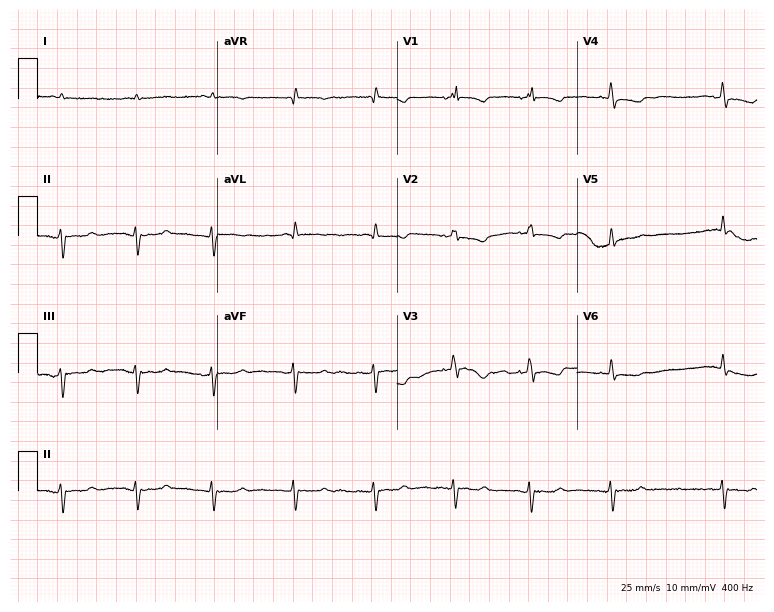
Standard 12-lead ECG recorded from a male, 84 years old. None of these six findings is recorded: first-degree AV block, right bundle branch block, left bundle branch block, sinus bradycardia, atrial fibrillation, sinus tachycardia. Other findings, if any, are not listed.